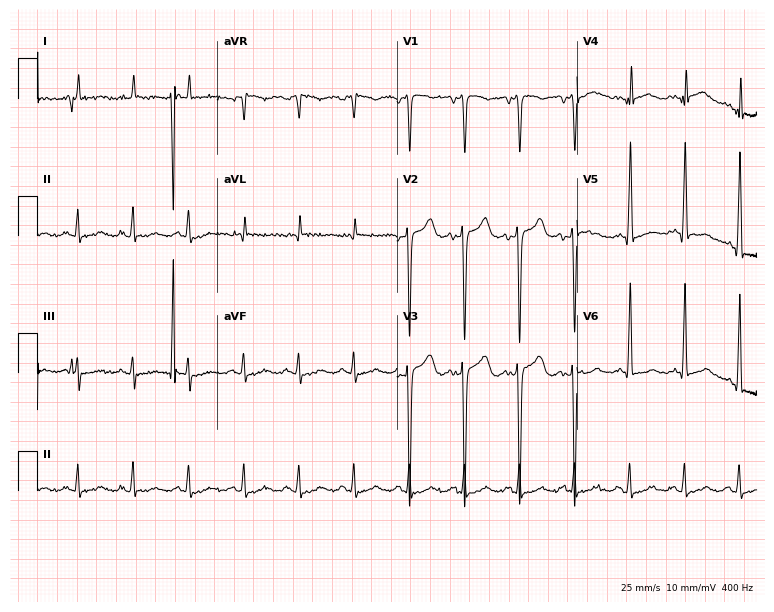
Resting 12-lead electrocardiogram (7.3-second recording at 400 Hz). Patient: a man, 78 years old. The tracing shows sinus tachycardia (a sinus rate of 100 beats per minute or more).